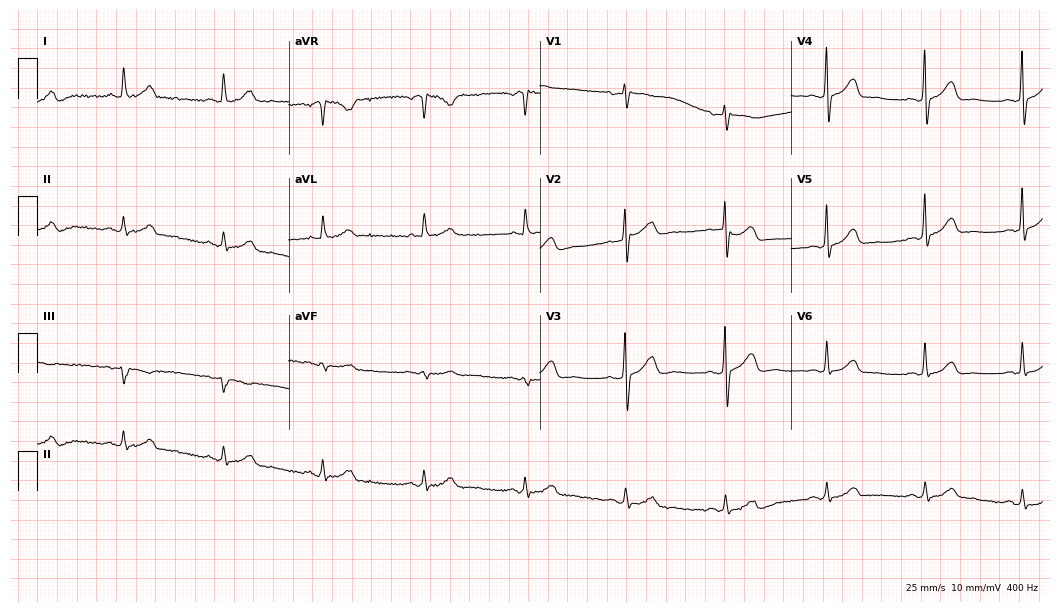
ECG (10.2-second recording at 400 Hz) — a female, 64 years old. Screened for six findings — first-degree AV block, right bundle branch block (RBBB), left bundle branch block (LBBB), sinus bradycardia, atrial fibrillation (AF), sinus tachycardia — none is recorded.